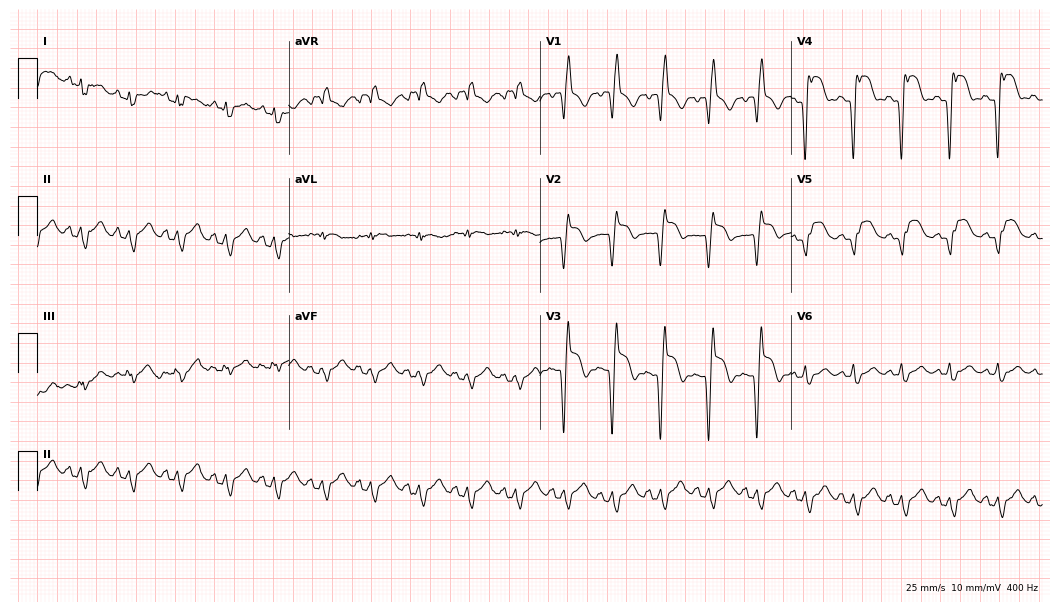
Electrocardiogram (10.2-second recording at 400 Hz), a female patient, 61 years old. Interpretation includes right bundle branch block, sinus tachycardia (a sinus rate of 100 beats per minute or more).